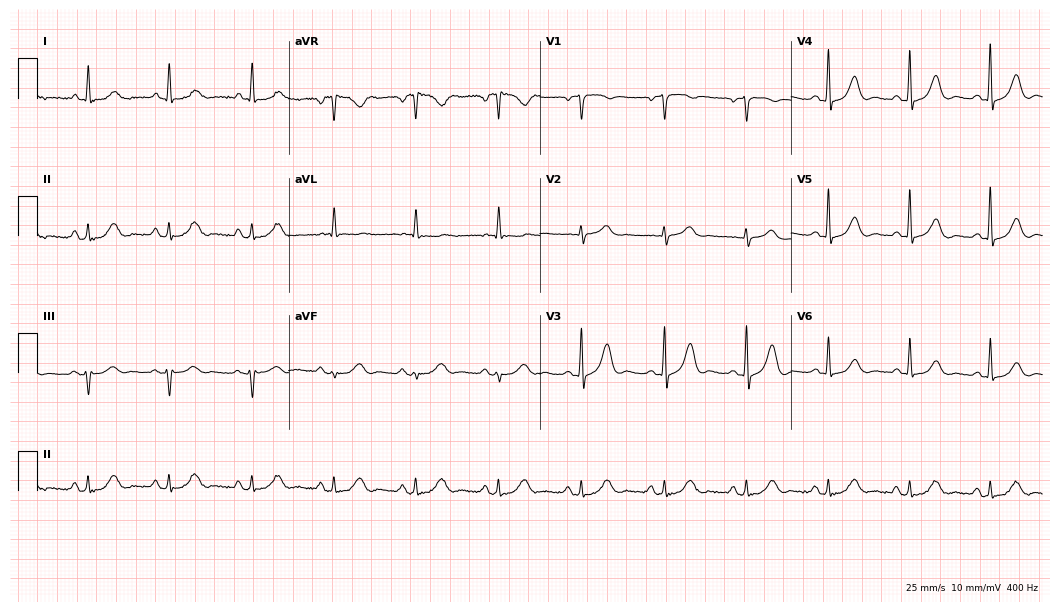
Electrocardiogram, a 70-year-old woman. Overall reading on record: normal ECG.